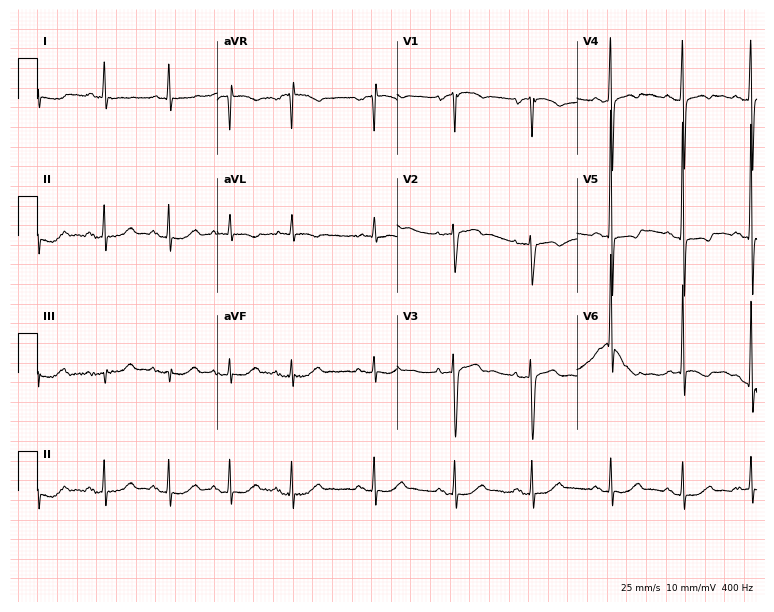
ECG (7.3-second recording at 400 Hz) — a woman, 83 years old. Screened for six findings — first-degree AV block, right bundle branch block, left bundle branch block, sinus bradycardia, atrial fibrillation, sinus tachycardia — none is recorded.